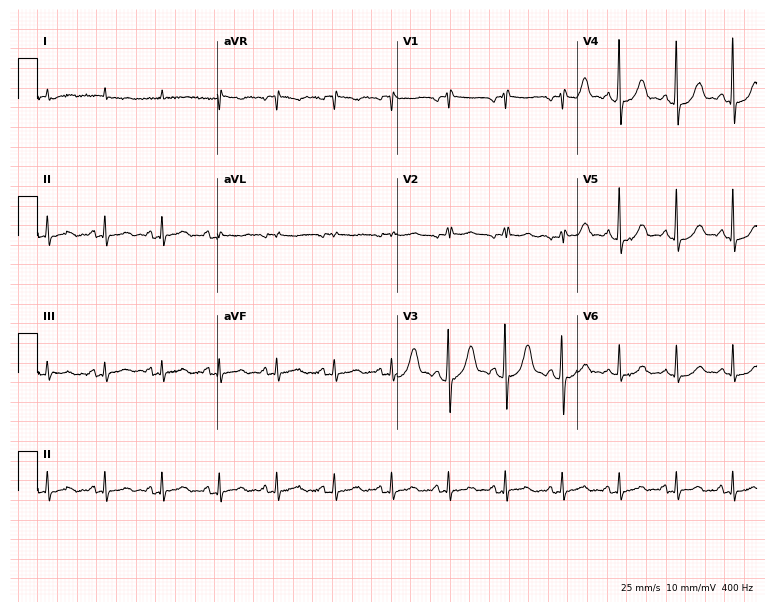
12-lead ECG from a 74-year-old man. Findings include sinus tachycardia (a sinus rate of 100 beats per minute or more).